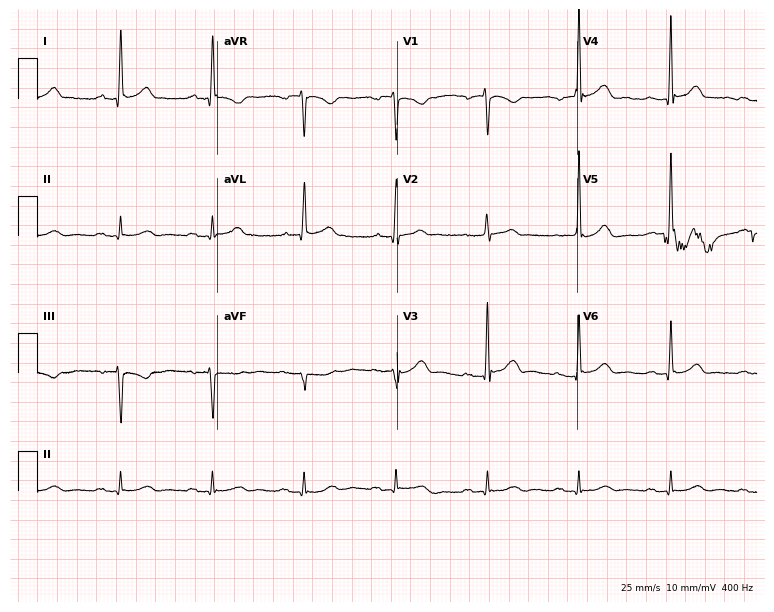
Resting 12-lead electrocardiogram (7.3-second recording at 400 Hz). Patient: a 67-year-old male. The tracing shows first-degree AV block.